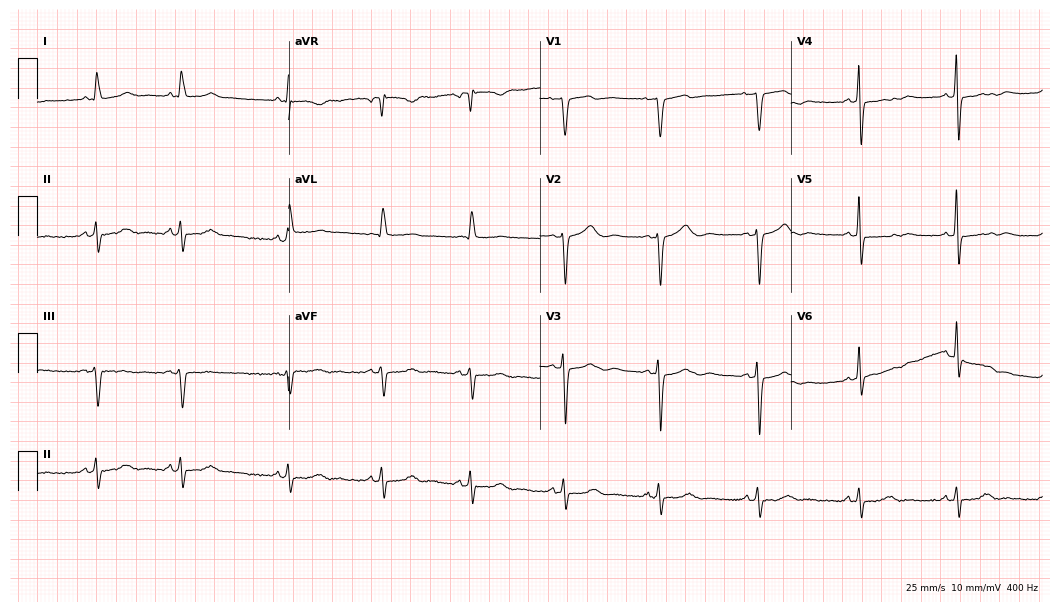
Resting 12-lead electrocardiogram (10.2-second recording at 400 Hz). Patient: a female, 78 years old. None of these six findings is recorded: first-degree AV block, right bundle branch block, left bundle branch block, sinus bradycardia, atrial fibrillation, sinus tachycardia. Other findings, if any, are not listed.